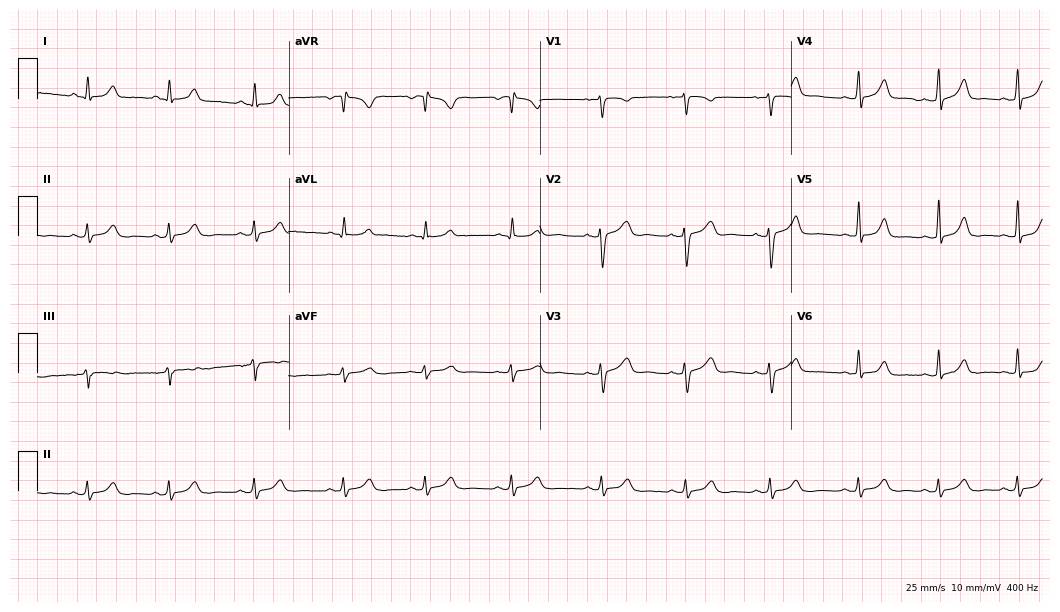
Standard 12-lead ECG recorded from a female patient, 25 years old (10.2-second recording at 400 Hz). Read as a normal ECG.